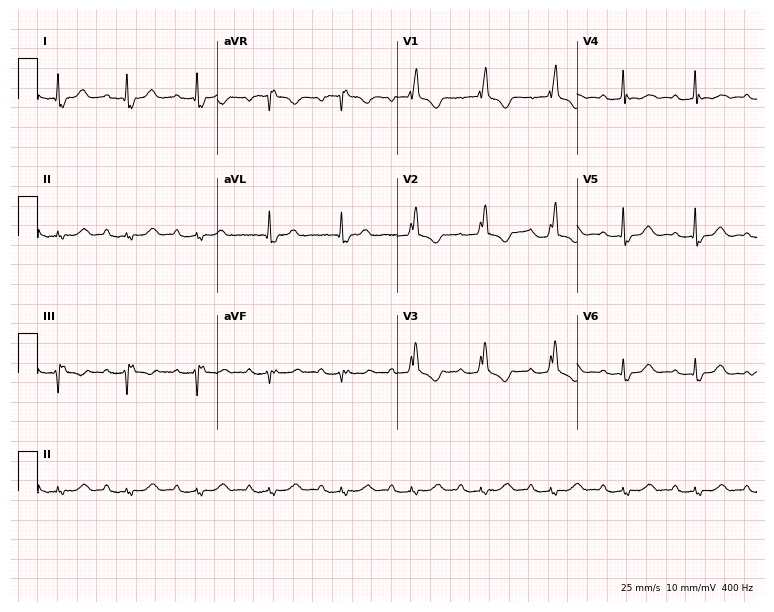
12-lead ECG (7.3-second recording at 400 Hz) from an 81-year-old female patient. Findings include first-degree AV block, right bundle branch block.